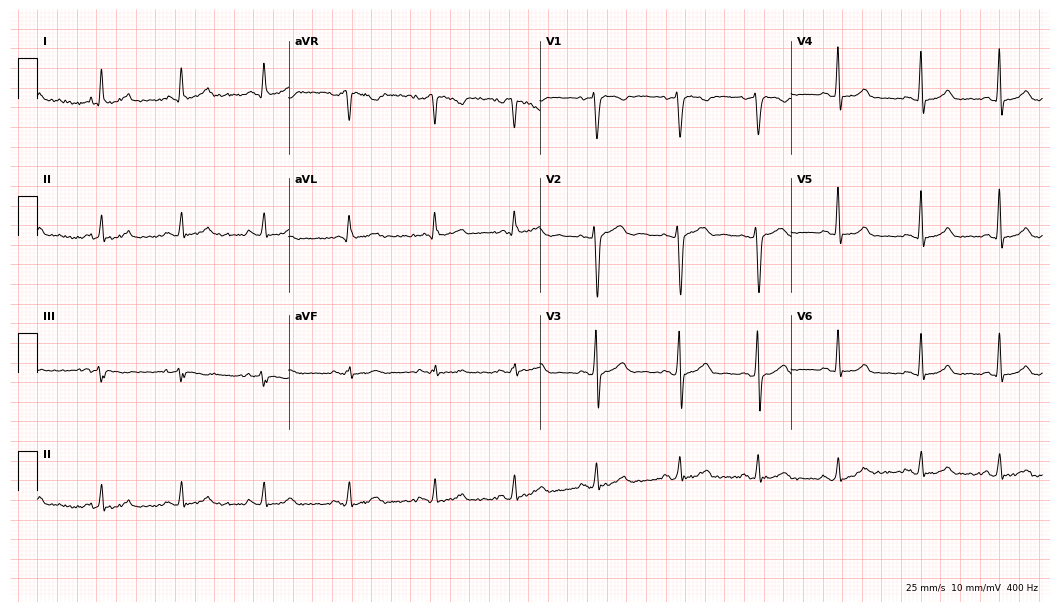
Resting 12-lead electrocardiogram (10.2-second recording at 400 Hz). Patient: a woman, 34 years old. Read as a normal ECG.